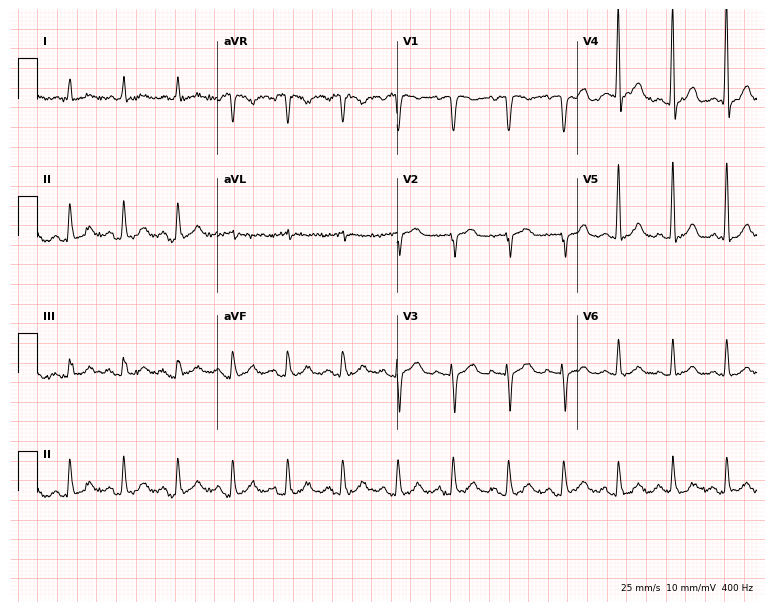
ECG — a woman, 83 years old. Findings include sinus tachycardia (a sinus rate of 100 beats per minute or more).